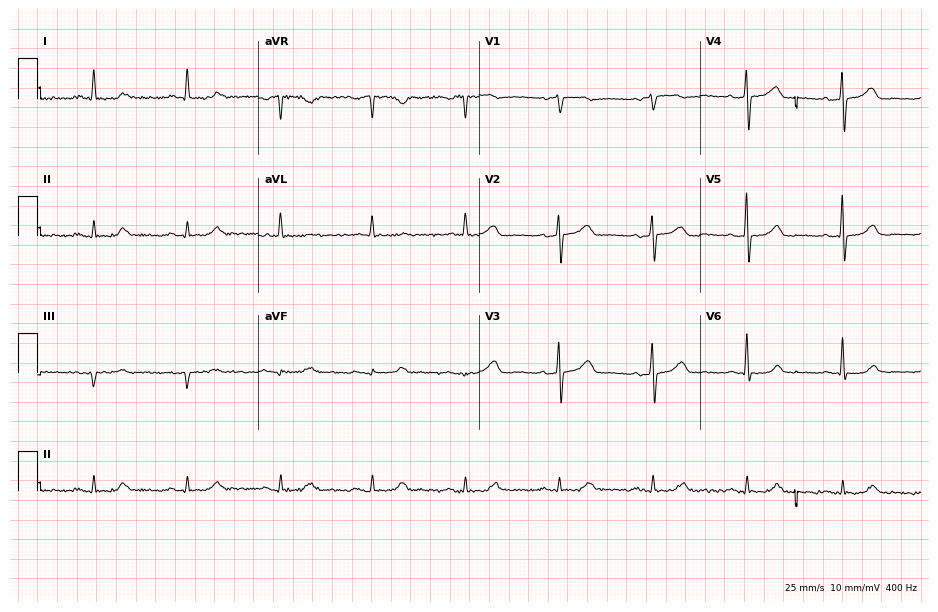
12-lead ECG from a 67-year-old woman. Recorded interpretation: within normal limits.